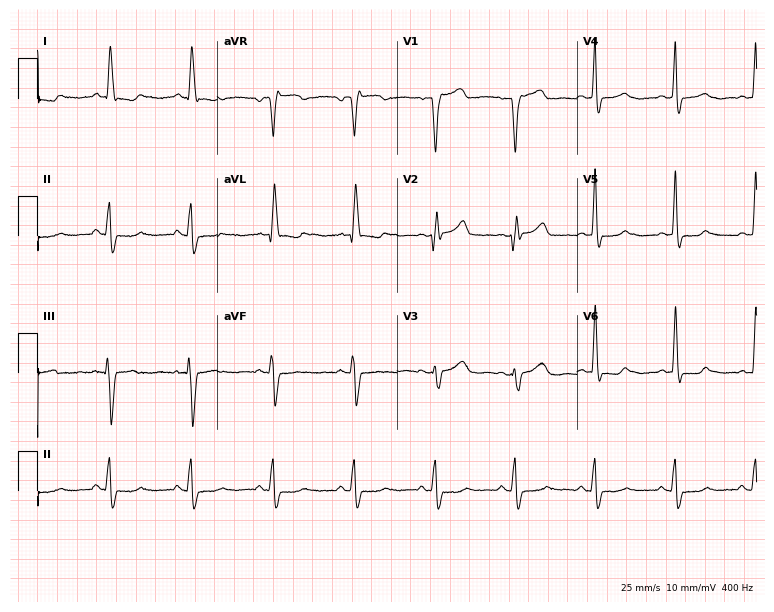
12-lead ECG from a woman, 53 years old. No first-degree AV block, right bundle branch block (RBBB), left bundle branch block (LBBB), sinus bradycardia, atrial fibrillation (AF) or sinus tachycardia recorded for this tracing. Findings outside these six are not listed.